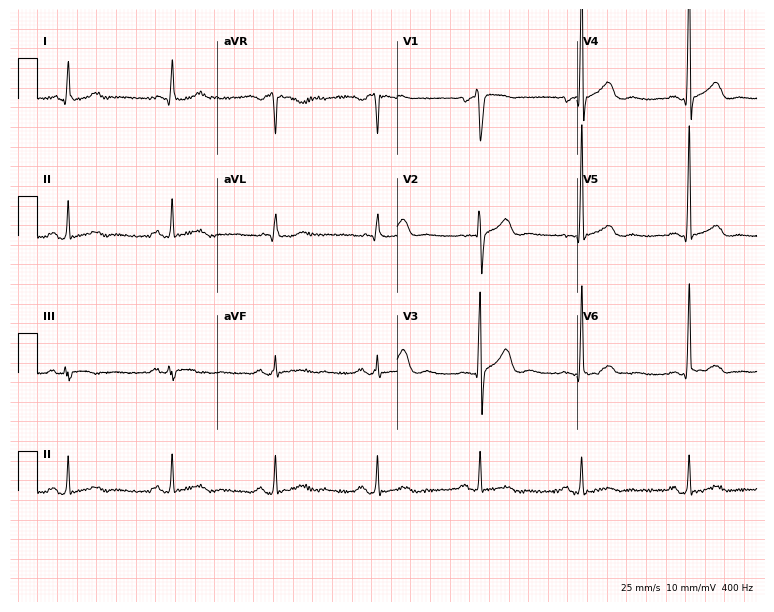
Electrocardiogram, a 52-year-old male patient. Overall reading on record: normal ECG.